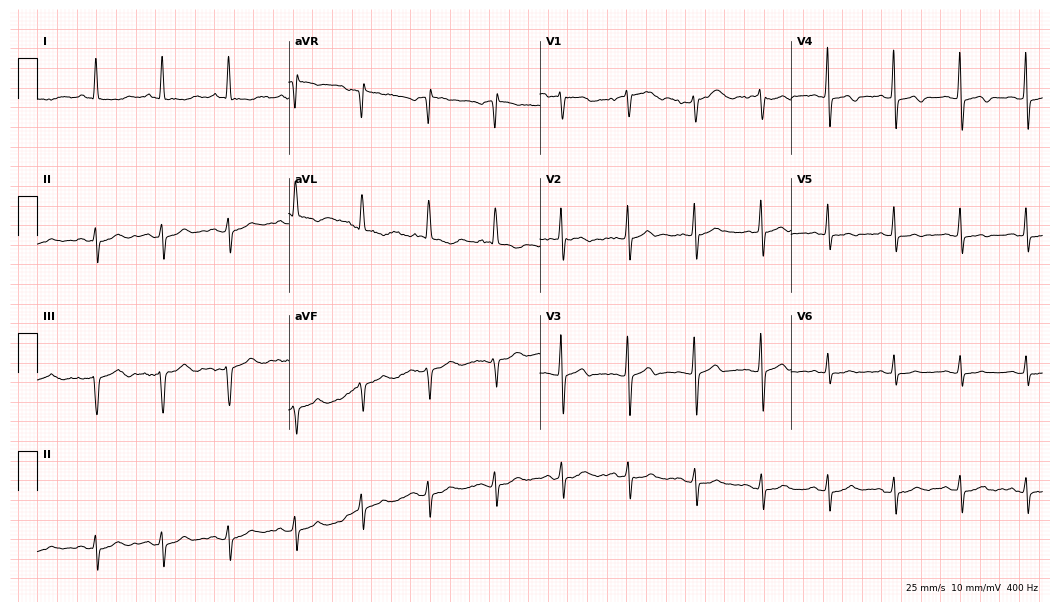
12-lead ECG from a female, 74 years old. Screened for six findings — first-degree AV block, right bundle branch block (RBBB), left bundle branch block (LBBB), sinus bradycardia, atrial fibrillation (AF), sinus tachycardia — none is recorded.